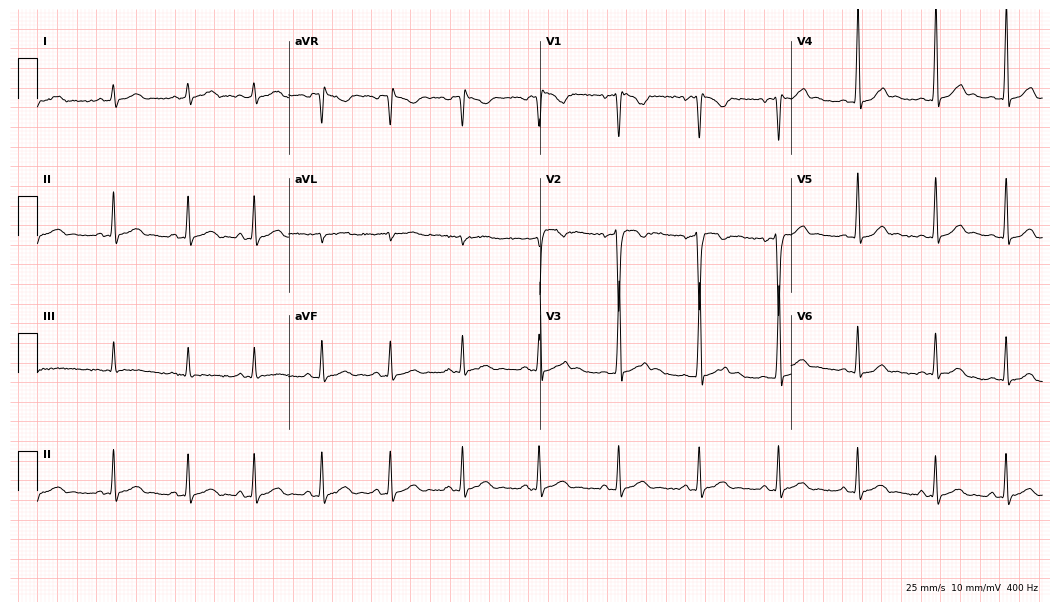
Resting 12-lead electrocardiogram. Patient: a 28-year-old male. Read as a normal ECG.